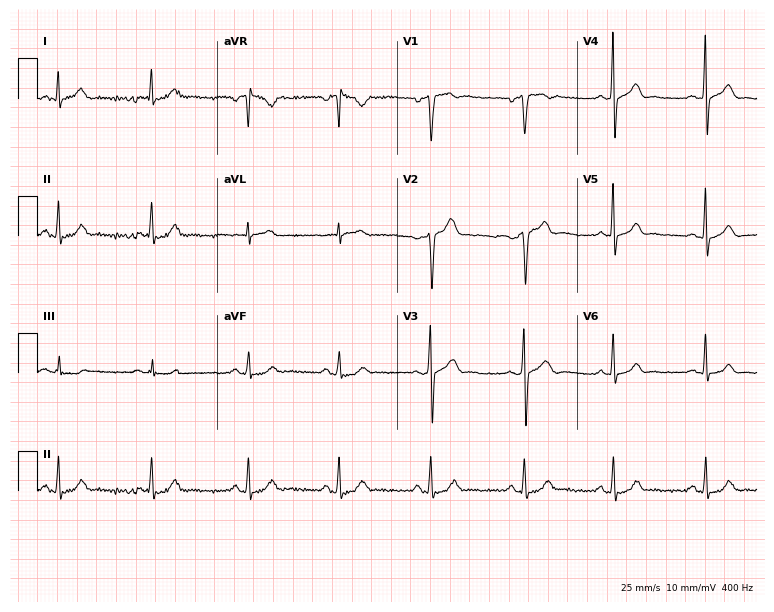
ECG — a 42-year-old man. Screened for six findings — first-degree AV block, right bundle branch block, left bundle branch block, sinus bradycardia, atrial fibrillation, sinus tachycardia — none is recorded. Only these six findings were labelled.